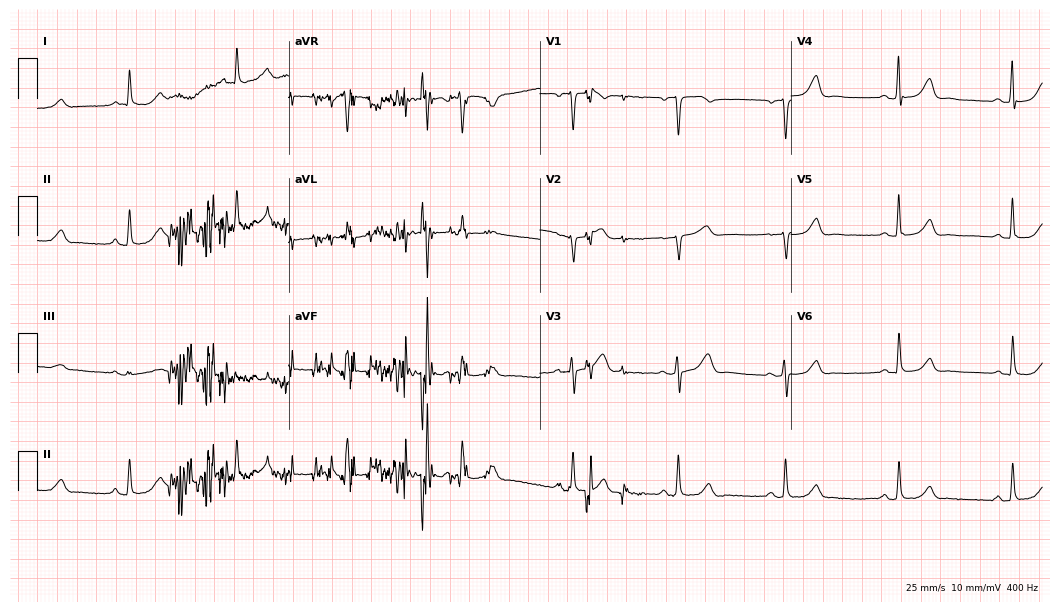
Standard 12-lead ECG recorded from a woman, 61 years old. None of these six findings is recorded: first-degree AV block, right bundle branch block, left bundle branch block, sinus bradycardia, atrial fibrillation, sinus tachycardia. Other findings, if any, are not listed.